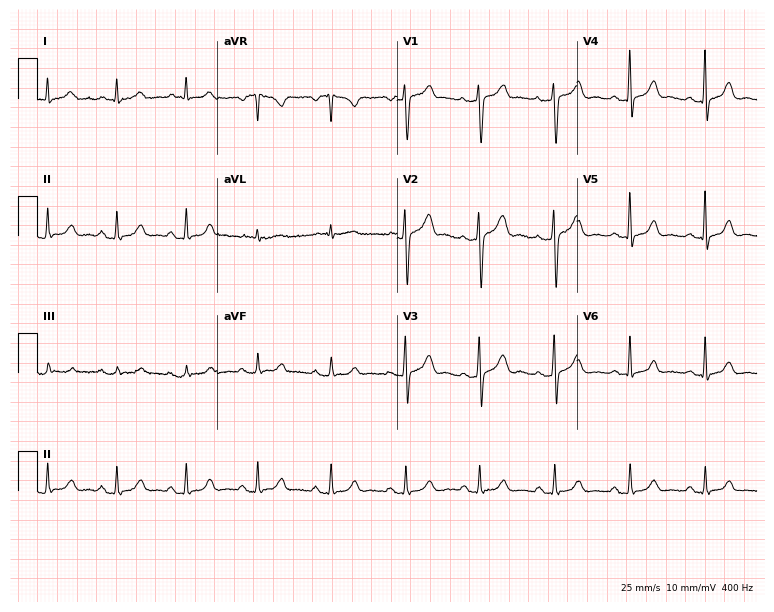
12-lead ECG from a male, 60 years old. Recorded interpretation: within normal limits.